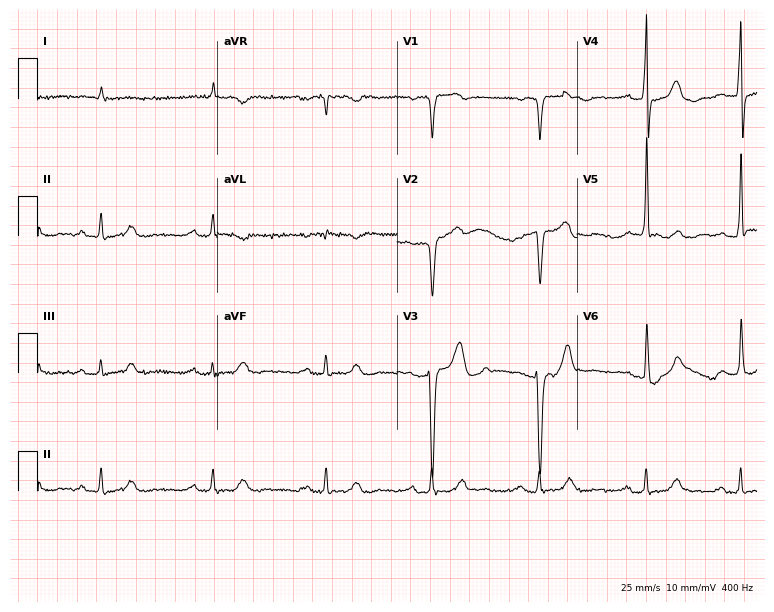
Electrocardiogram (7.3-second recording at 400 Hz), a man, 87 years old. Interpretation includes first-degree AV block.